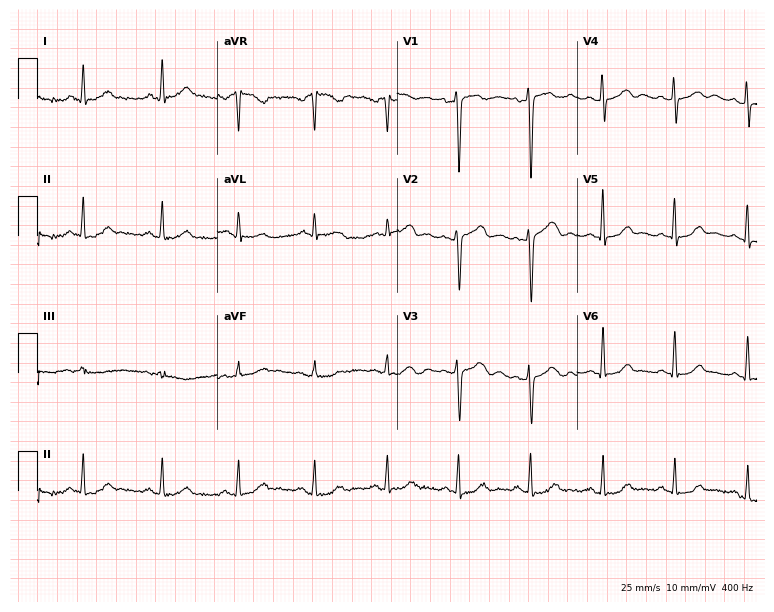
12-lead ECG (7.3-second recording at 400 Hz) from a 41-year-old female. Labelled as a normal ECG.